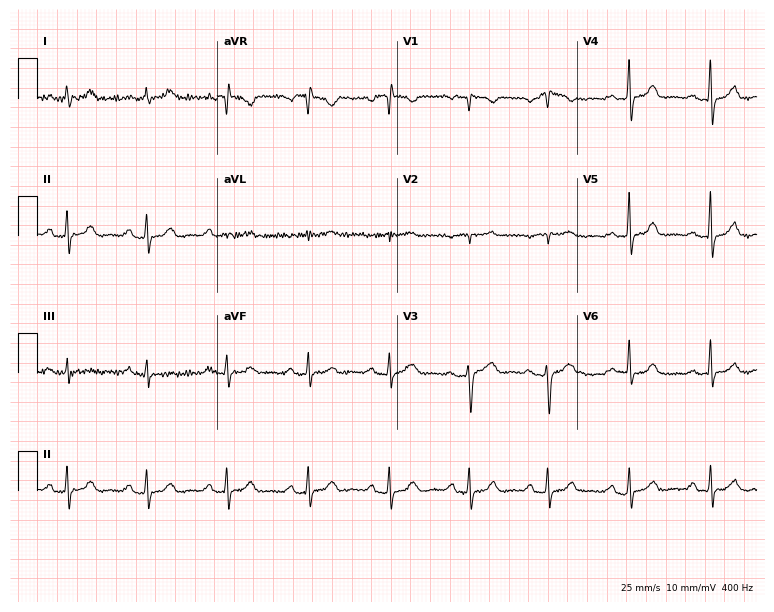
Standard 12-lead ECG recorded from a 60-year-old female patient (7.3-second recording at 400 Hz). None of these six findings is recorded: first-degree AV block, right bundle branch block, left bundle branch block, sinus bradycardia, atrial fibrillation, sinus tachycardia.